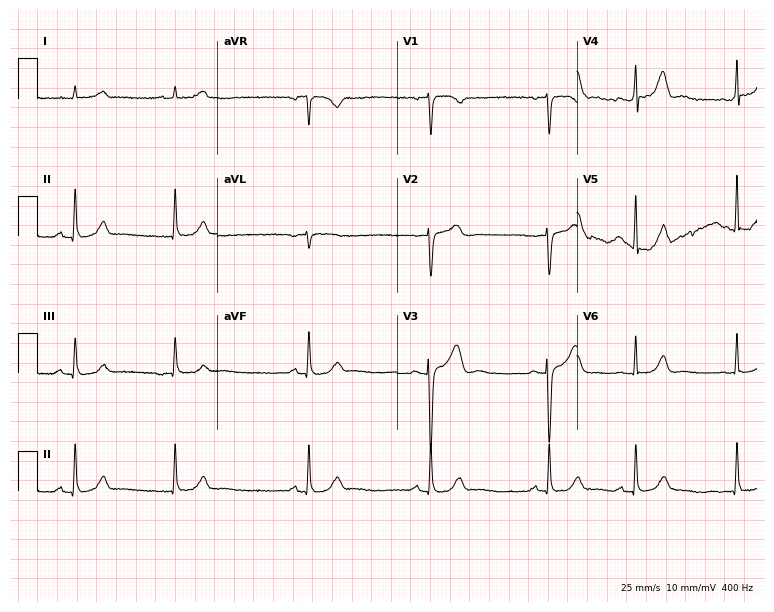
Electrocardiogram (7.3-second recording at 400 Hz), a female, 68 years old. Of the six screened findings (first-degree AV block, right bundle branch block, left bundle branch block, sinus bradycardia, atrial fibrillation, sinus tachycardia), none is recorded.